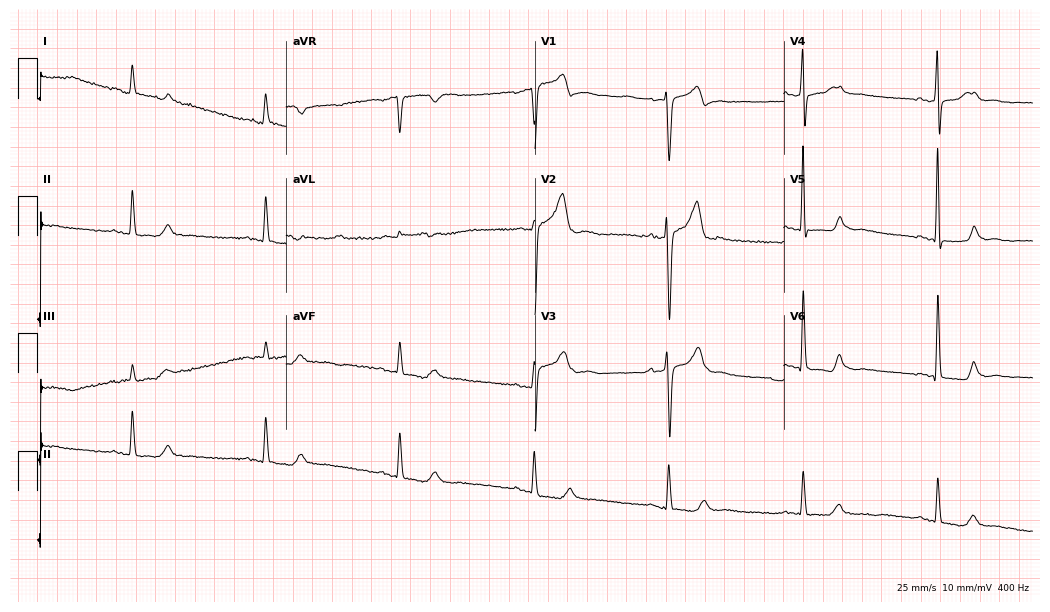
ECG (10.1-second recording at 400 Hz) — a 75-year-old man. Findings include sinus bradycardia (a sinus rate of 50 beats per minute or less).